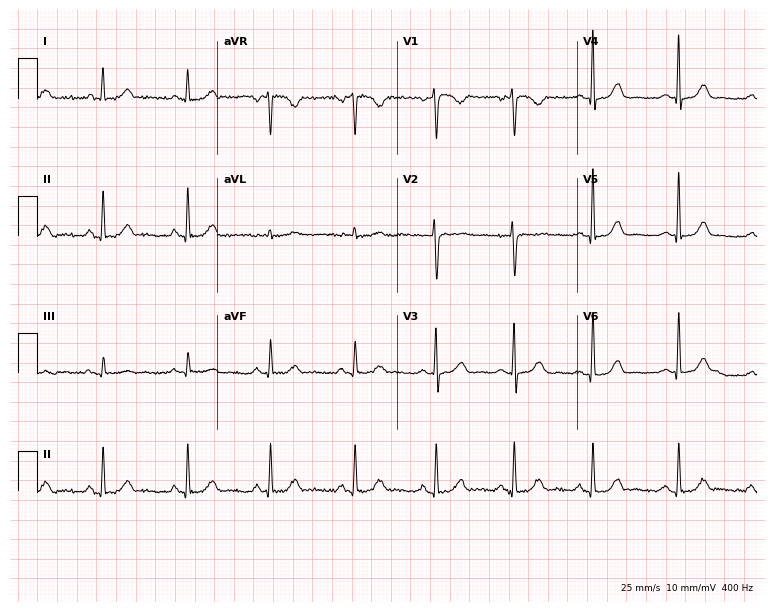
ECG — a female patient, 50 years old. Labelled as a normal ECG.